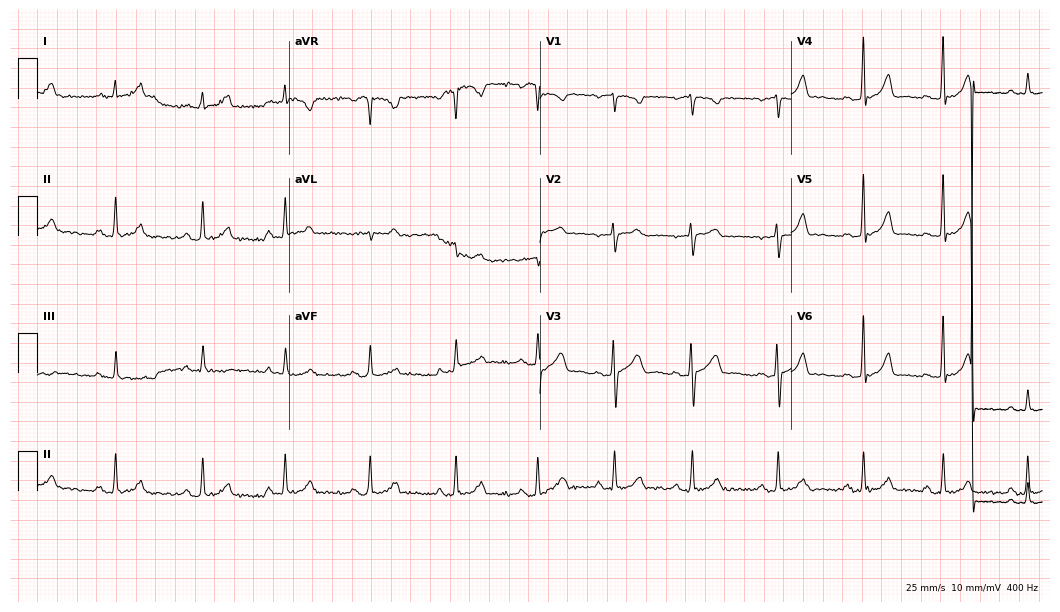
12-lead ECG from a 27-year-old female patient. Recorded interpretation: within normal limits.